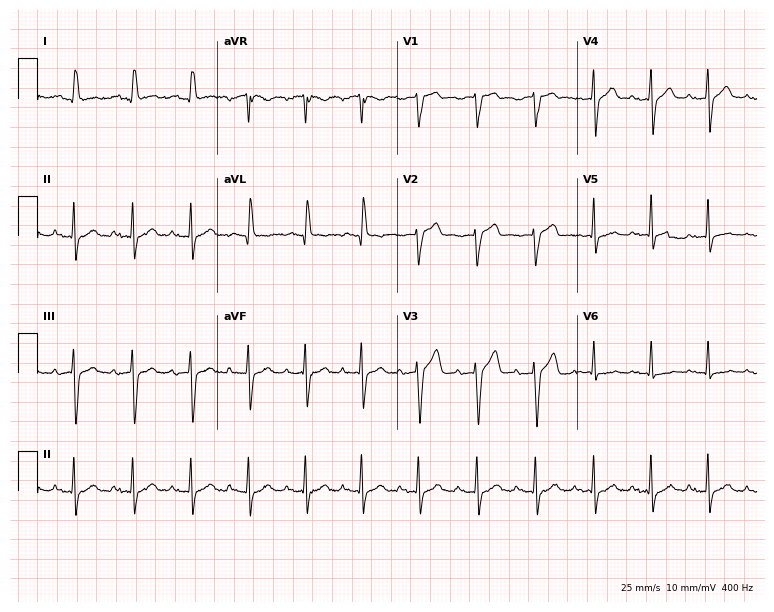
12-lead ECG from a 73-year-old female (7.3-second recording at 400 Hz). Shows sinus tachycardia (a sinus rate of 100 beats per minute or more).